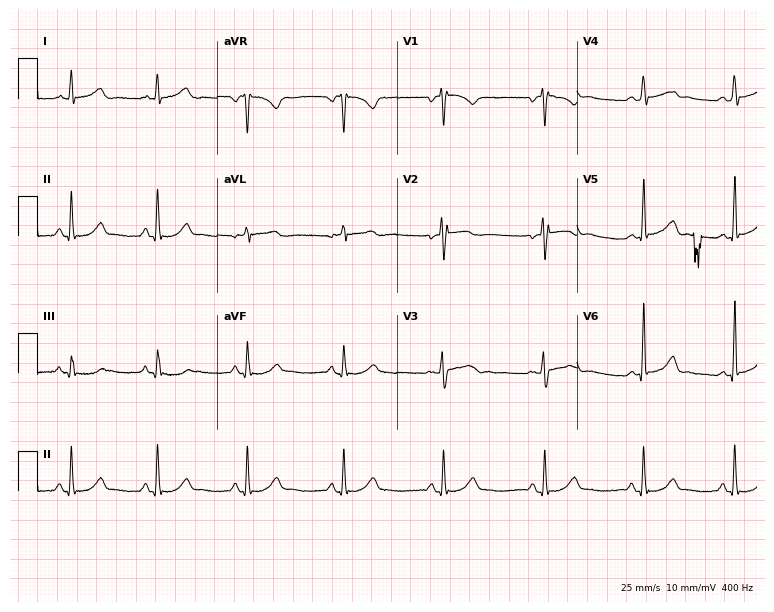
ECG — a 36-year-old woman. Labelled as a normal ECG.